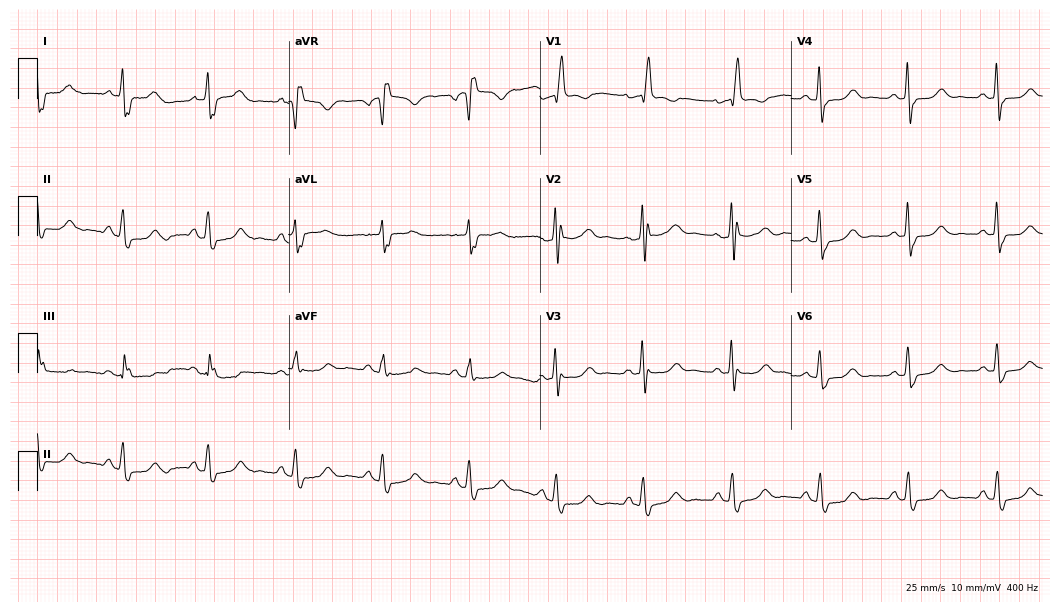
Standard 12-lead ECG recorded from a female, 61 years old (10.2-second recording at 400 Hz). The tracing shows right bundle branch block.